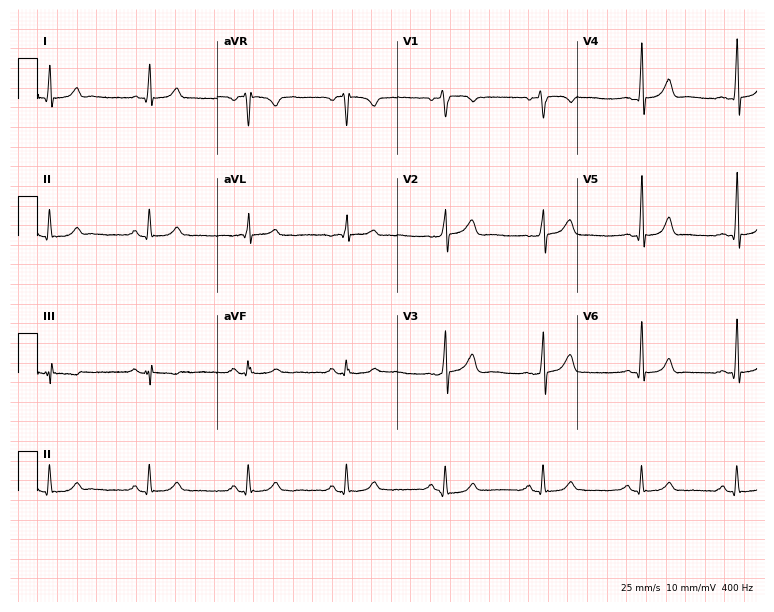
Electrocardiogram, a 46-year-old man. Of the six screened findings (first-degree AV block, right bundle branch block, left bundle branch block, sinus bradycardia, atrial fibrillation, sinus tachycardia), none is recorded.